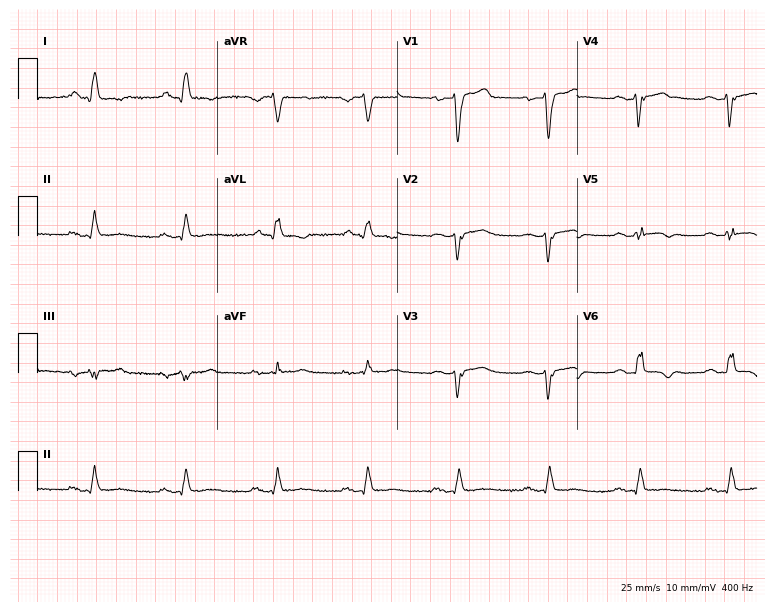
ECG (7.3-second recording at 400 Hz) — a male patient, 64 years old. Screened for six findings — first-degree AV block, right bundle branch block, left bundle branch block, sinus bradycardia, atrial fibrillation, sinus tachycardia — none is recorded. Only these six findings were labelled.